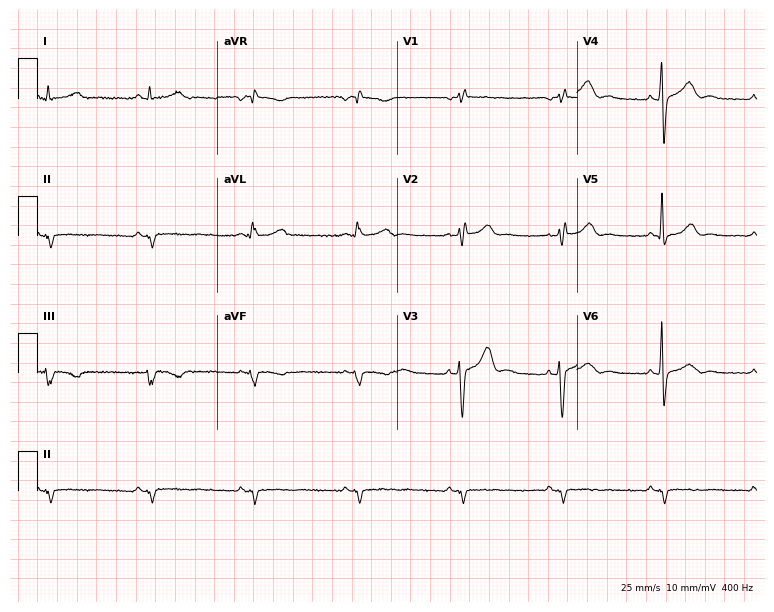
Electrocardiogram (7.3-second recording at 400 Hz), a man, 46 years old. Of the six screened findings (first-degree AV block, right bundle branch block, left bundle branch block, sinus bradycardia, atrial fibrillation, sinus tachycardia), none is recorded.